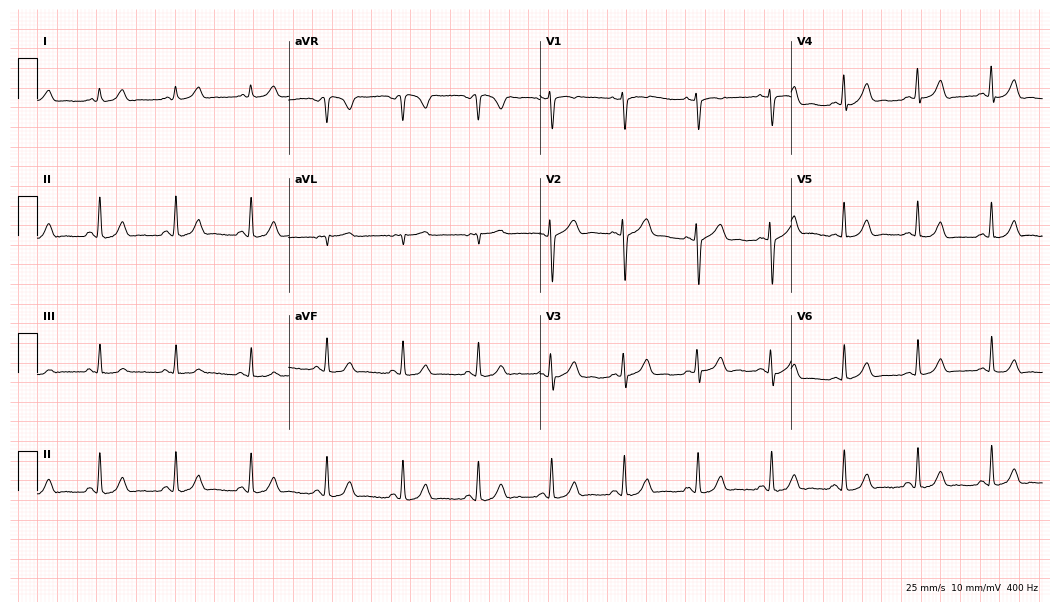
Resting 12-lead electrocardiogram. Patient: a woman, 29 years old. Read as a normal ECG.